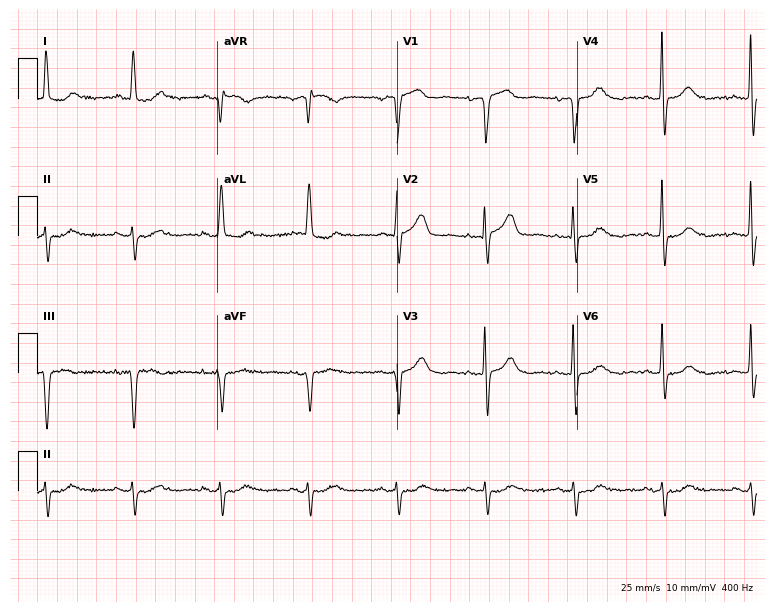
Resting 12-lead electrocardiogram. Patient: a woman, 83 years old. None of these six findings is recorded: first-degree AV block, right bundle branch block, left bundle branch block, sinus bradycardia, atrial fibrillation, sinus tachycardia.